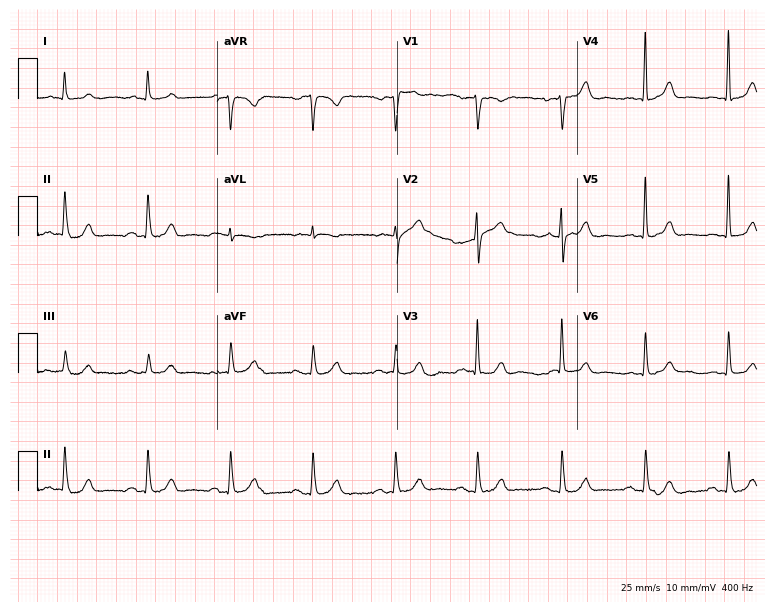
12-lead ECG (7.3-second recording at 400 Hz) from a male, 75 years old. Screened for six findings — first-degree AV block, right bundle branch block (RBBB), left bundle branch block (LBBB), sinus bradycardia, atrial fibrillation (AF), sinus tachycardia — none is recorded.